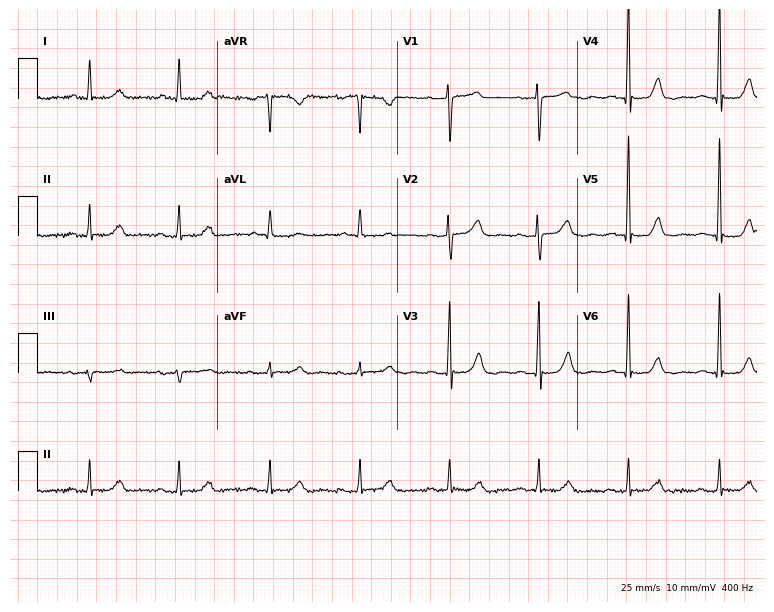
12-lead ECG from a 58-year-old woman. Screened for six findings — first-degree AV block, right bundle branch block, left bundle branch block, sinus bradycardia, atrial fibrillation, sinus tachycardia — none is recorded. Other findings, if any, are not listed.